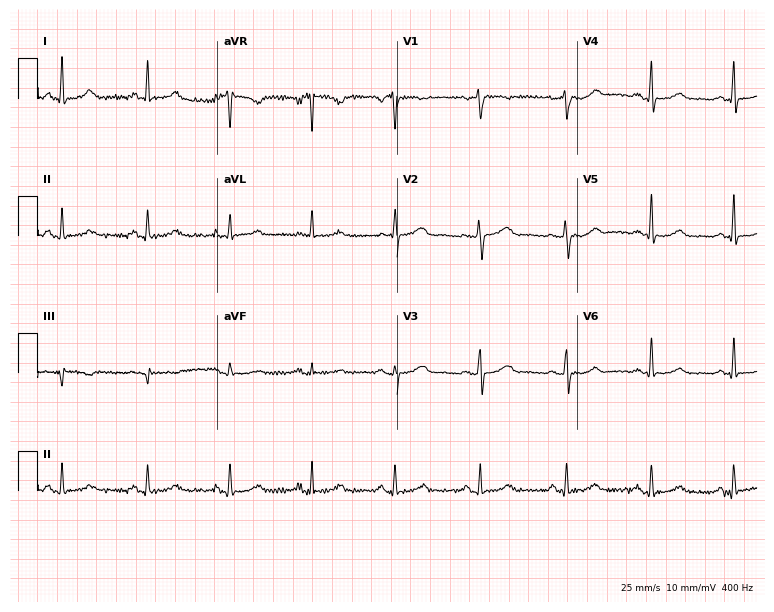
Standard 12-lead ECG recorded from a 47-year-old woman. Read as a normal ECG.